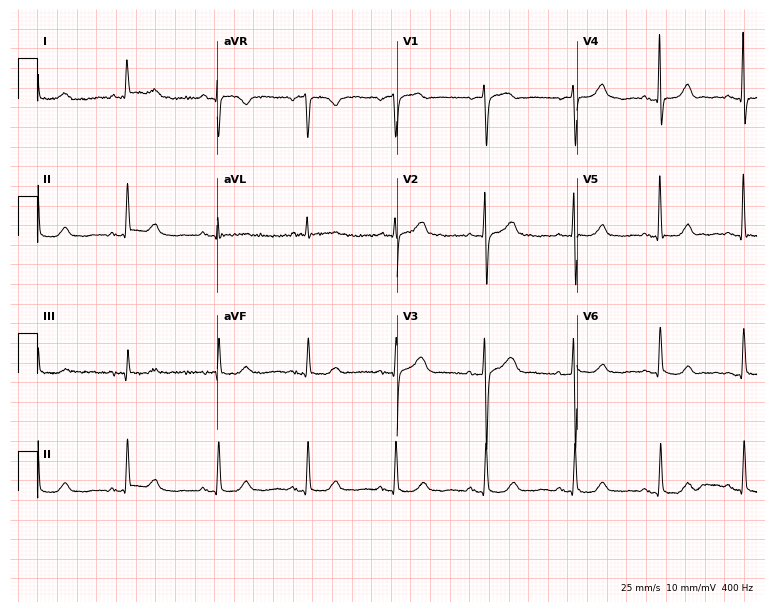
12-lead ECG from a woman, 85 years old. No first-degree AV block, right bundle branch block, left bundle branch block, sinus bradycardia, atrial fibrillation or sinus tachycardia recorded for this tracing. Other findings, if any, are not listed.